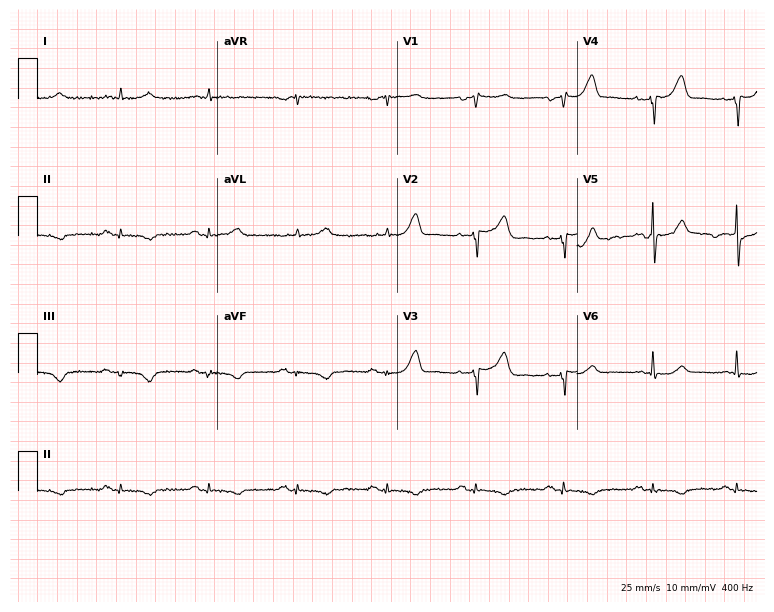
12-lead ECG from a man, 81 years old. Screened for six findings — first-degree AV block, right bundle branch block, left bundle branch block, sinus bradycardia, atrial fibrillation, sinus tachycardia — none is recorded.